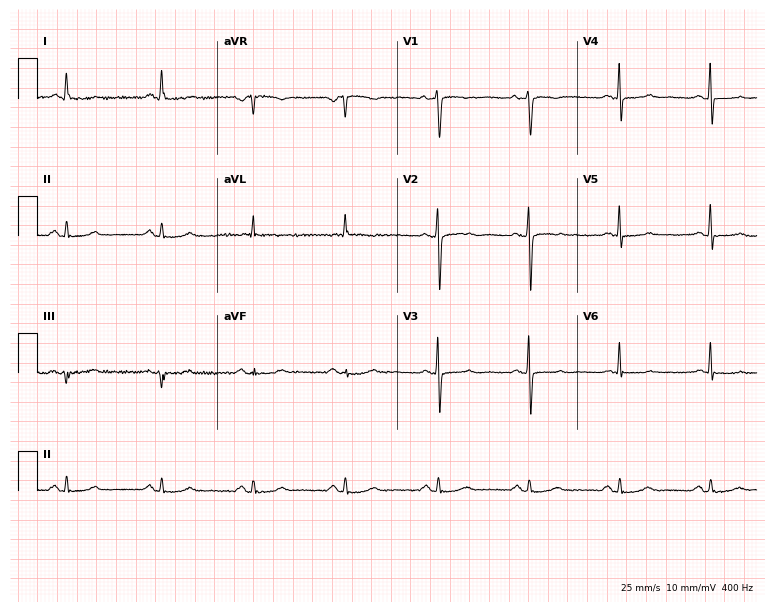
Resting 12-lead electrocardiogram. Patient: a female, 30 years old. Read as a normal ECG.